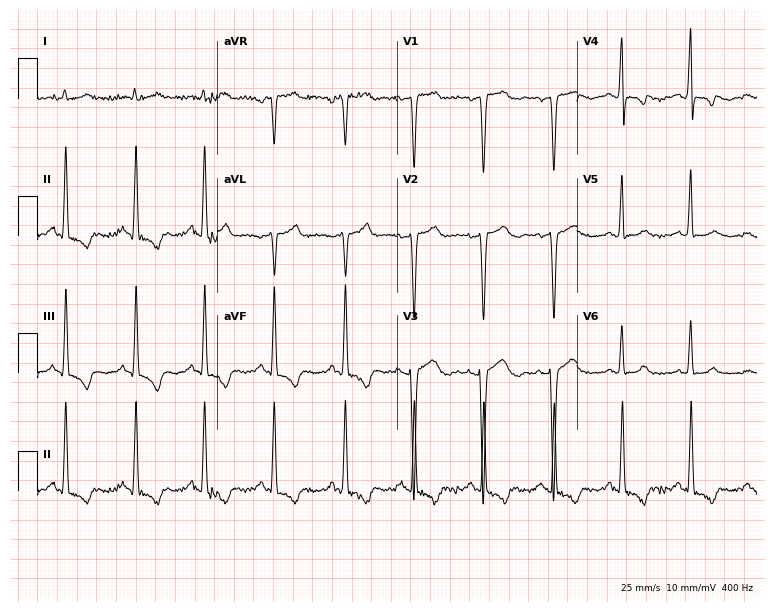
12-lead ECG from a 74-year-old man. No first-degree AV block, right bundle branch block (RBBB), left bundle branch block (LBBB), sinus bradycardia, atrial fibrillation (AF) or sinus tachycardia recorded for this tracing.